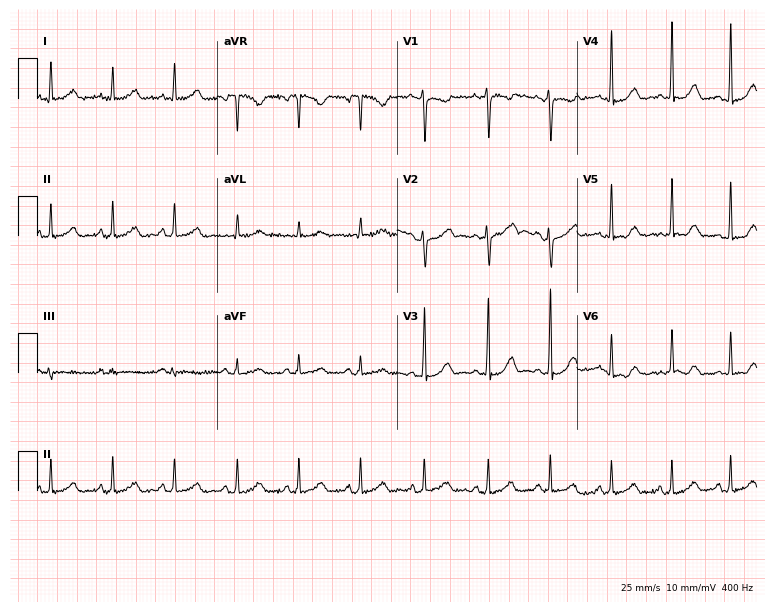
12-lead ECG from a female, 24 years old. Screened for six findings — first-degree AV block, right bundle branch block, left bundle branch block, sinus bradycardia, atrial fibrillation, sinus tachycardia — none is recorded. Findings outside these six are not listed.